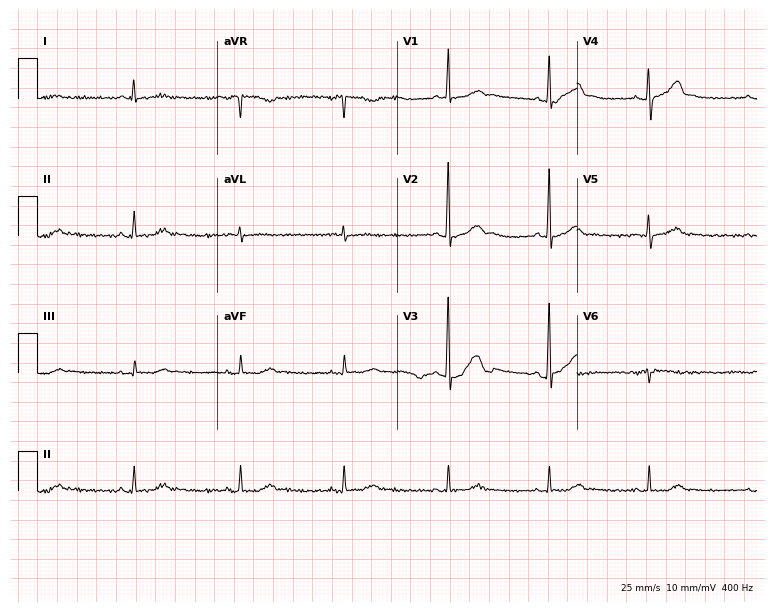
12-lead ECG from a male, 69 years old (7.3-second recording at 400 Hz). No first-degree AV block, right bundle branch block (RBBB), left bundle branch block (LBBB), sinus bradycardia, atrial fibrillation (AF) or sinus tachycardia recorded for this tracing.